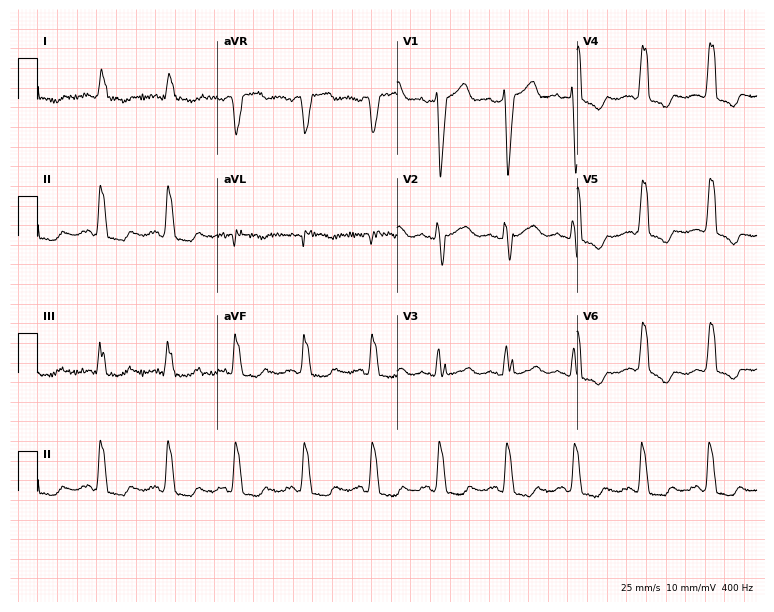
Resting 12-lead electrocardiogram. Patient: a female, 64 years old. The tracing shows left bundle branch block.